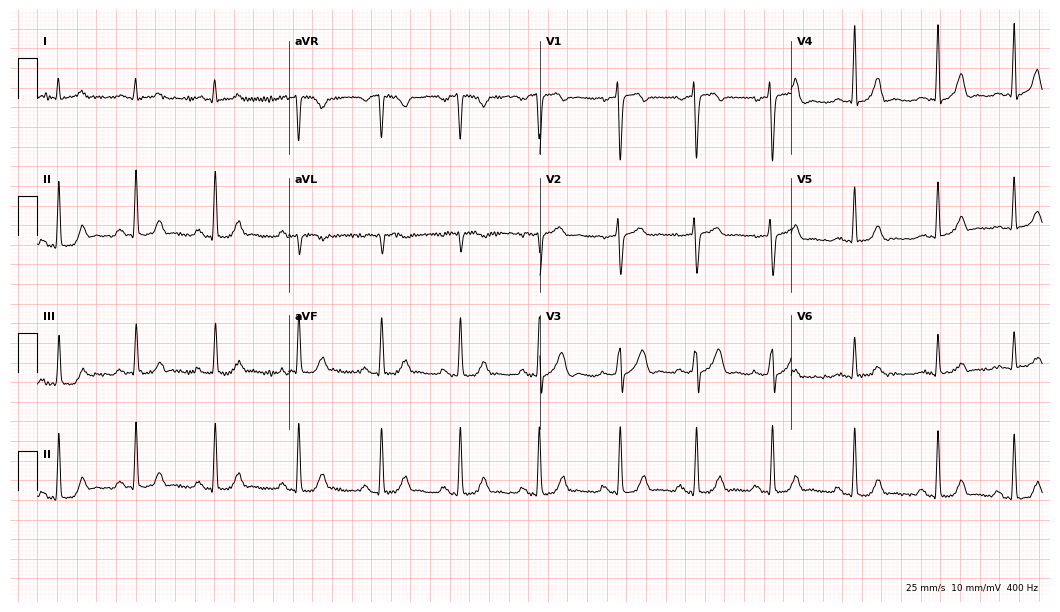
ECG — a female, 22 years old. Screened for six findings — first-degree AV block, right bundle branch block (RBBB), left bundle branch block (LBBB), sinus bradycardia, atrial fibrillation (AF), sinus tachycardia — none is recorded. Only these six findings were labelled.